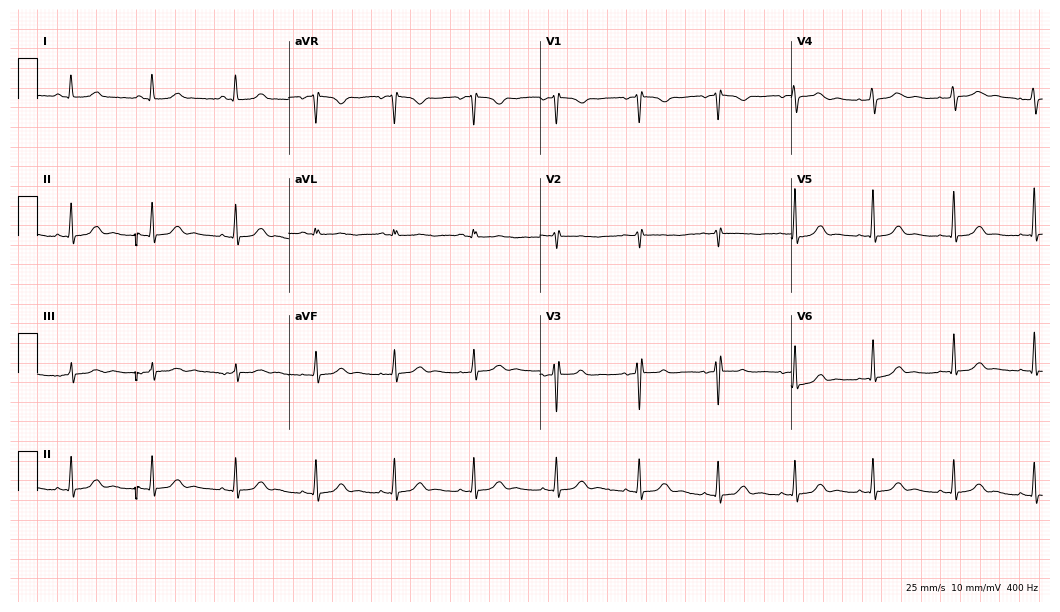
Standard 12-lead ECG recorded from a woman, 40 years old (10.2-second recording at 400 Hz). None of these six findings is recorded: first-degree AV block, right bundle branch block, left bundle branch block, sinus bradycardia, atrial fibrillation, sinus tachycardia.